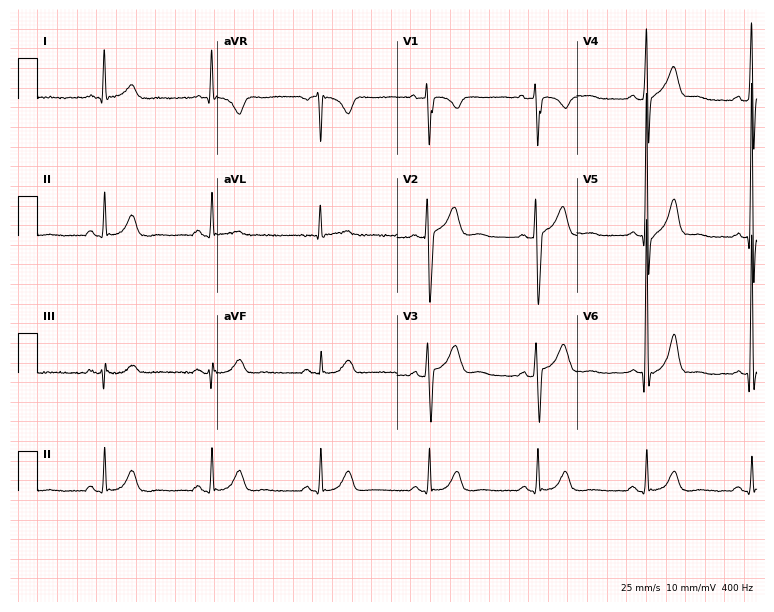
Resting 12-lead electrocardiogram (7.3-second recording at 400 Hz). Patient: a male, 52 years old. Read as a normal ECG.